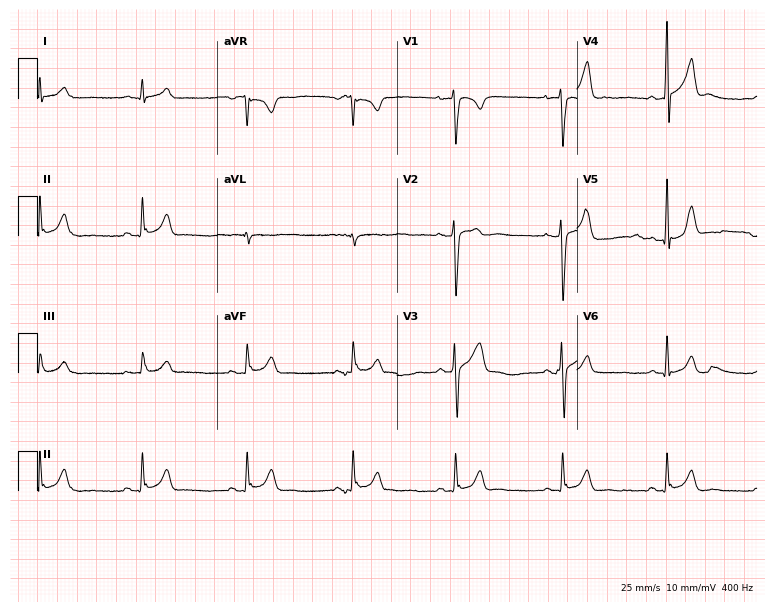
12-lead ECG from a male patient, 36 years old (7.3-second recording at 400 Hz). Recorded interpretation: within normal limits.